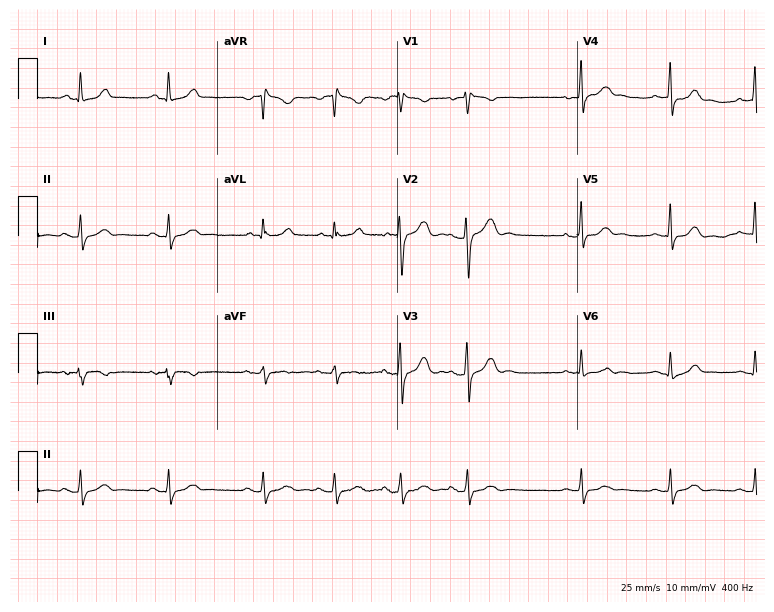
ECG (7.3-second recording at 400 Hz) — a female, 31 years old. Screened for six findings — first-degree AV block, right bundle branch block, left bundle branch block, sinus bradycardia, atrial fibrillation, sinus tachycardia — none is recorded.